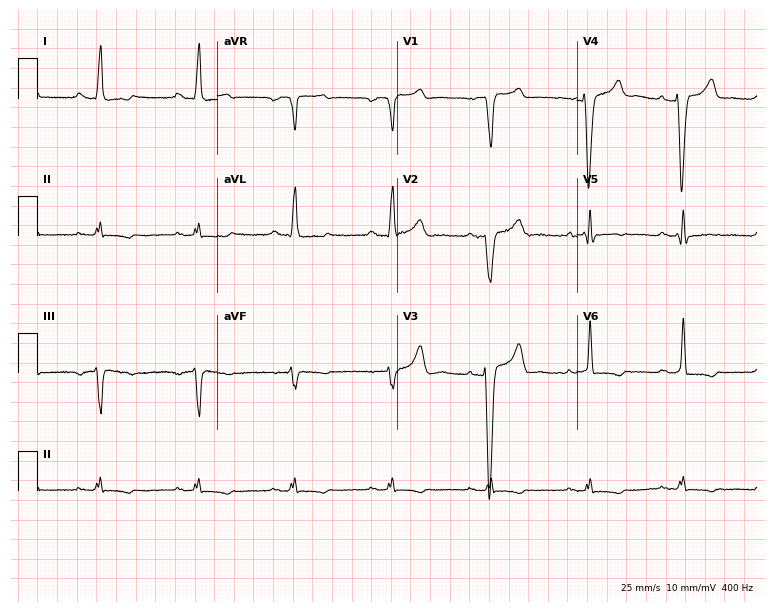
Standard 12-lead ECG recorded from a 60-year-old male (7.3-second recording at 400 Hz). The tracing shows left bundle branch block.